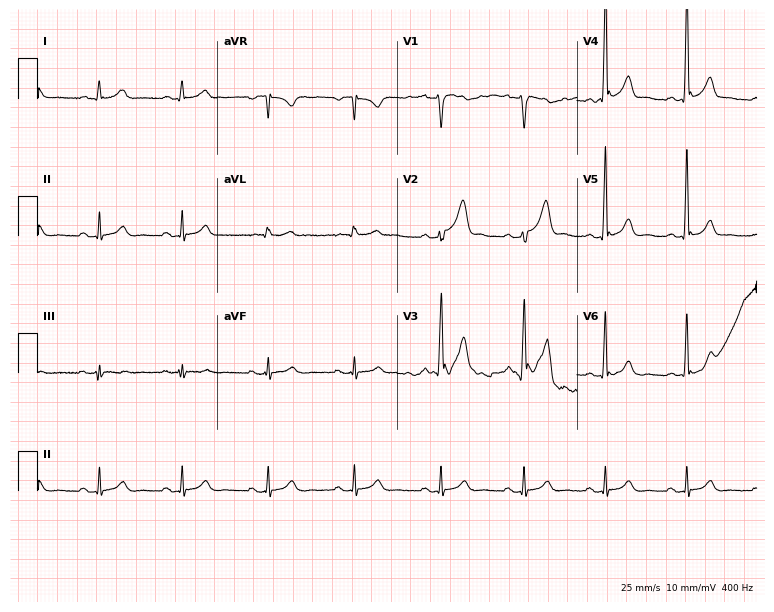
ECG (7.3-second recording at 400 Hz) — a man, 39 years old. Screened for six findings — first-degree AV block, right bundle branch block, left bundle branch block, sinus bradycardia, atrial fibrillation, sinus tachycardia — none is recorded. Only these six findings were labelled.